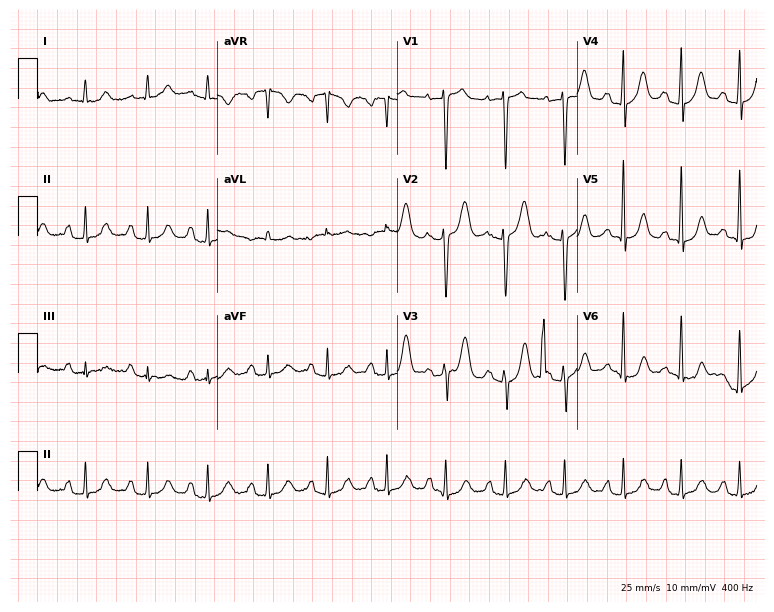
Electrocardiogram (7.3-second recording at 400 Hz), a 66-year-old female. Of the six screened findings (first-degree AV block, right bundle branch block (RBBB), left bundle branch block (LBBB), sinus bradycardia, atrial fibrillation (AF), sinus tachycardia), none is recorded.